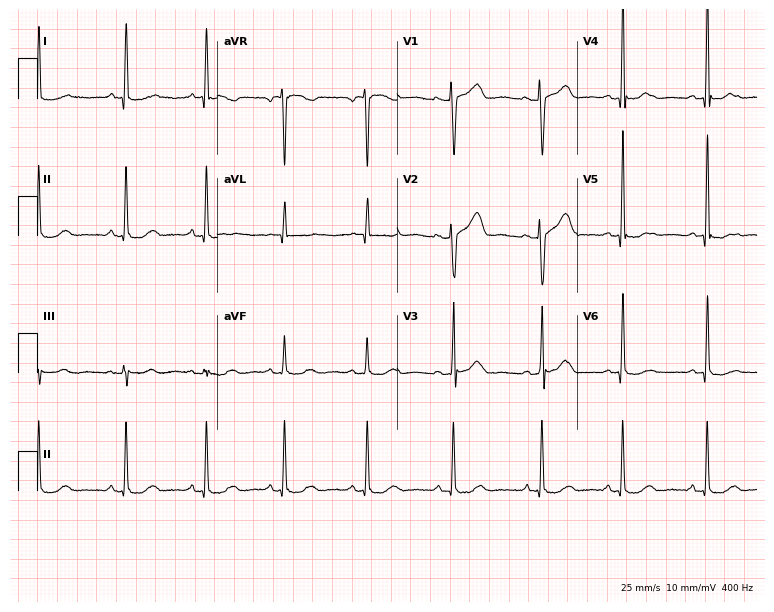
12-lead ECG from a 38-year-old female (7.3-second recording at 400 Hz). No first-degree AV block, right bundle branch block, left bundle branch block, sinus bradycardia, atrial fibrillation or sinus tachycardia recorded for this tracing.